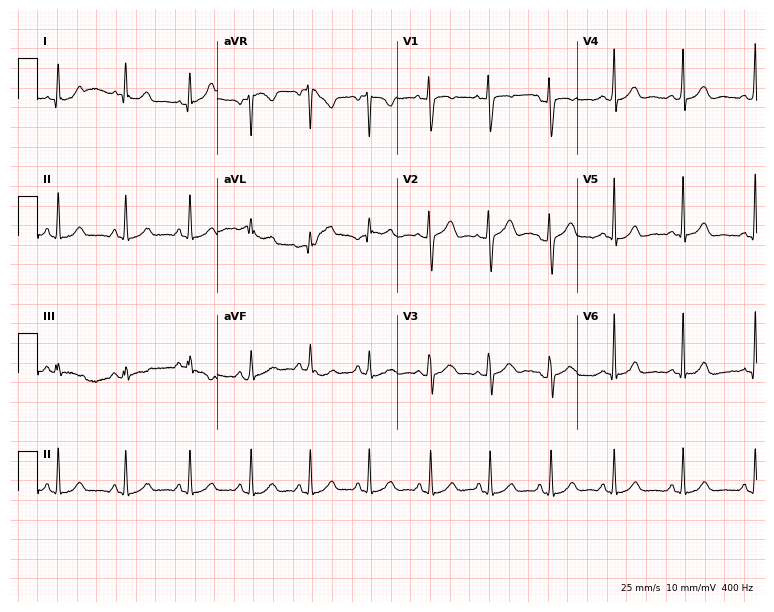
Electrocardiogram (7.3-second recording at 400 Hz), a 19-year-old female. Overall reading on record: normal ECG.